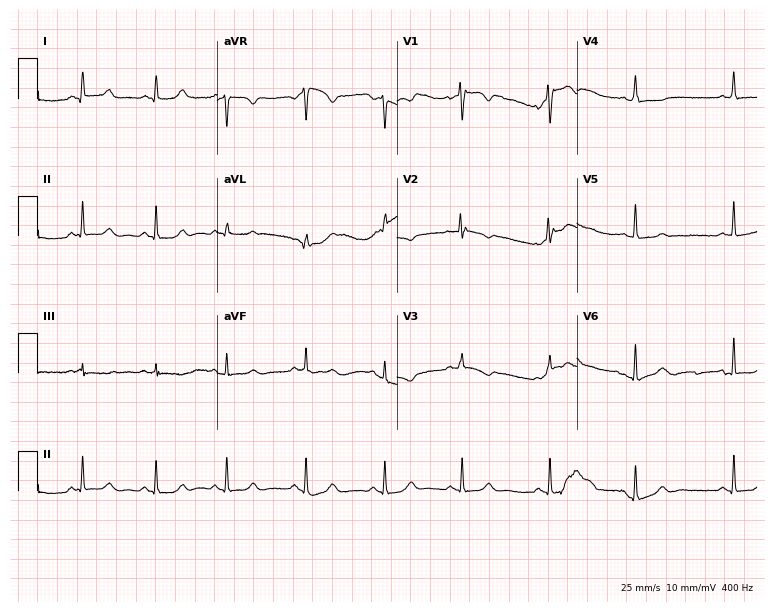
Resting 12-lead electrocardiogram. Patient: a 19-year-old female. Read as a normal ECG.